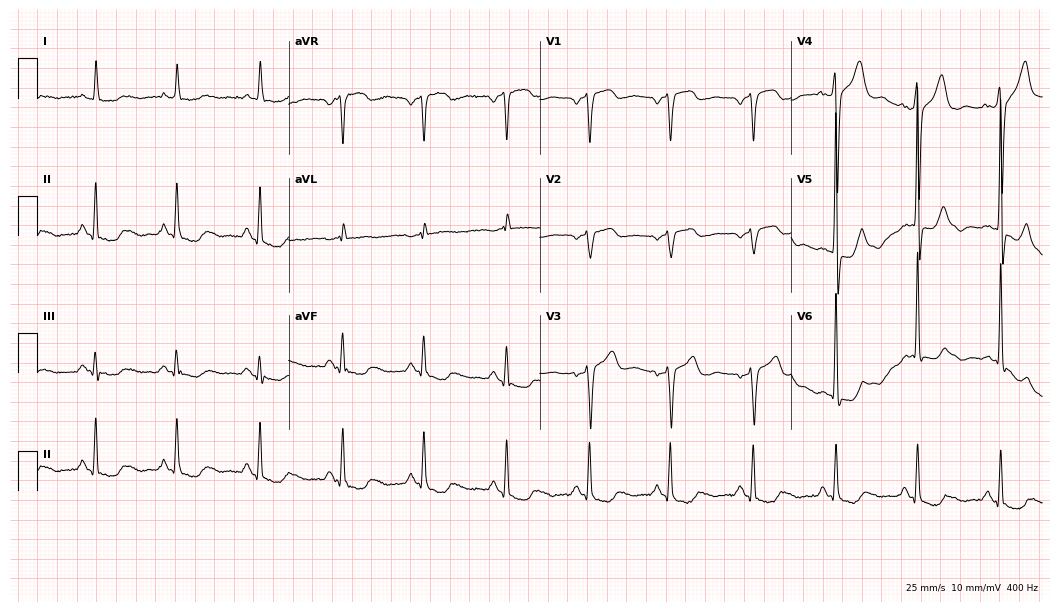
Standard 12-lead ECG recorded from a man, 75 years old. None of these six findings is recorded: first-degree AV block, right bundle branch block, left bundle branch block, sinus bradycardia, atrial fibrillation, sinus tachycardia. Only these six findings were labelled.